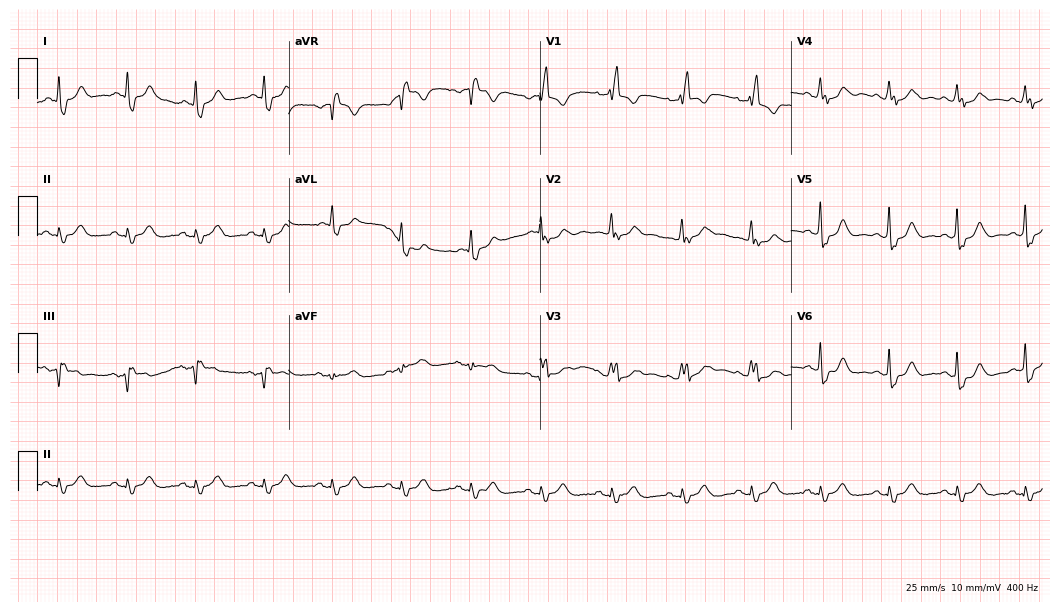
Resting 12-lead electrocardiogram (10.2-second recording at 400 Hz). Patient: a female, 70 years old. None of these six findings is recorded: first-degree AV block, right bundle branch block, left bundle branch block, sinus bradycardia, atrial fibrillation, sinus tachycardia. Only these six findings were labelled.